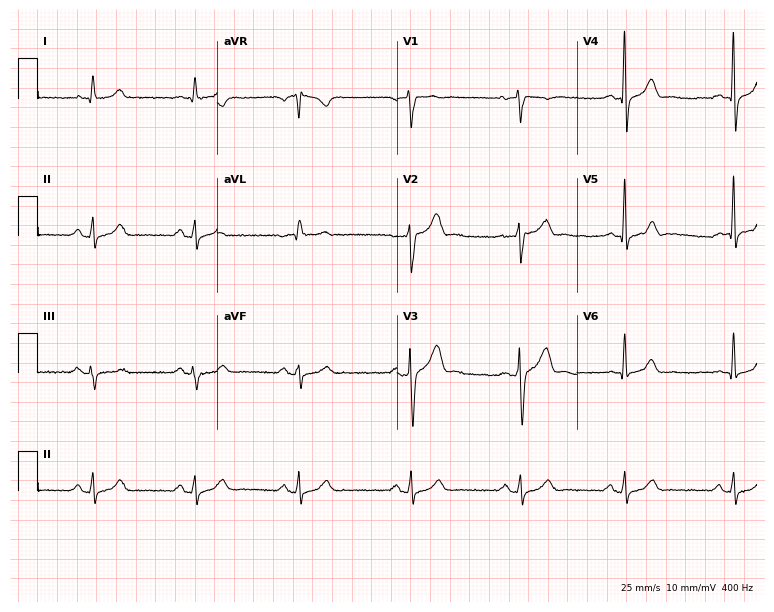
ECG (7.3-second recording at 400 Hz) — a male patient, 42 years old. Labelled as a normal ECG.